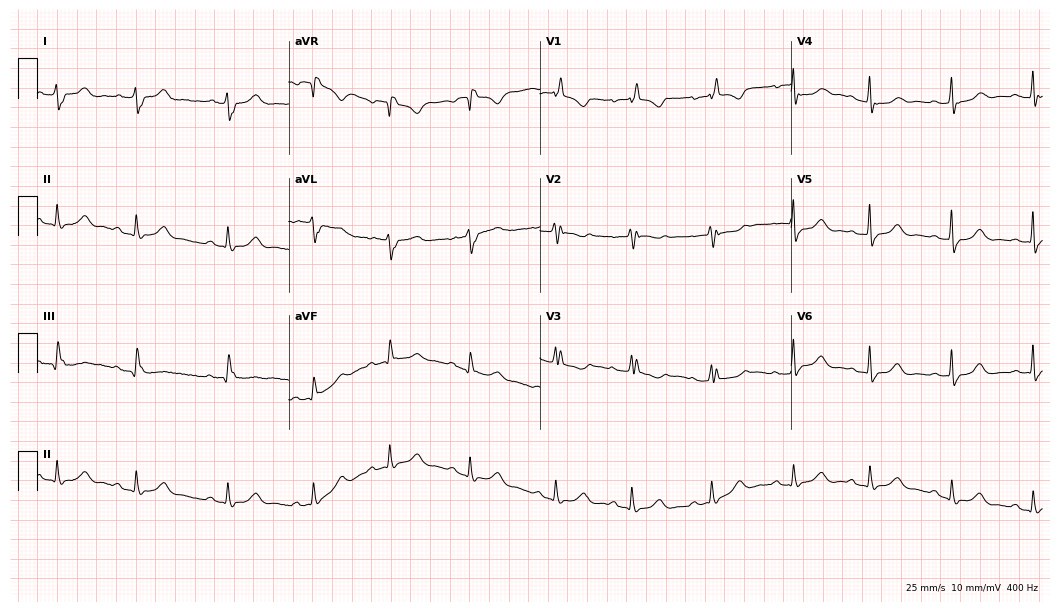
Electrocardiogram (10.2-second recording at 400 Hz), a 74-year-old woman. Interpretation includes right bundle branch block.